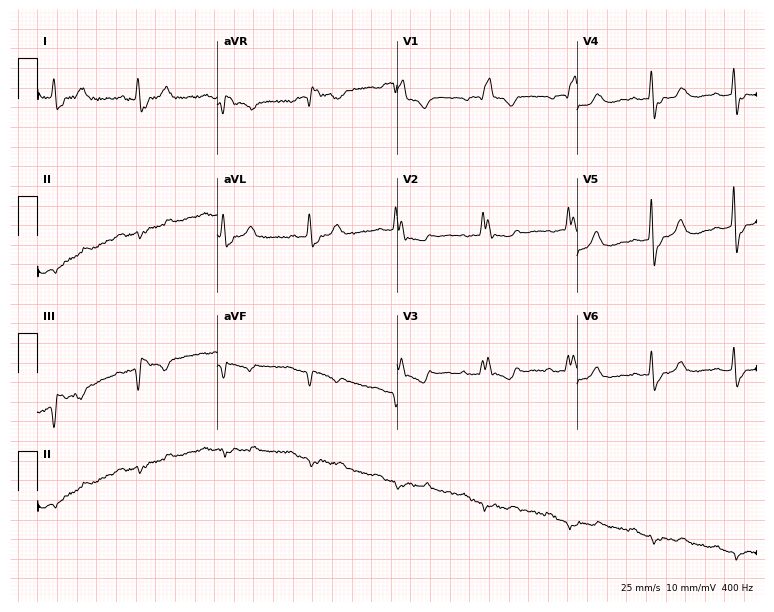
12-lead ECG from a 72-year-old male. Shows right bundle branch block (RBBB).